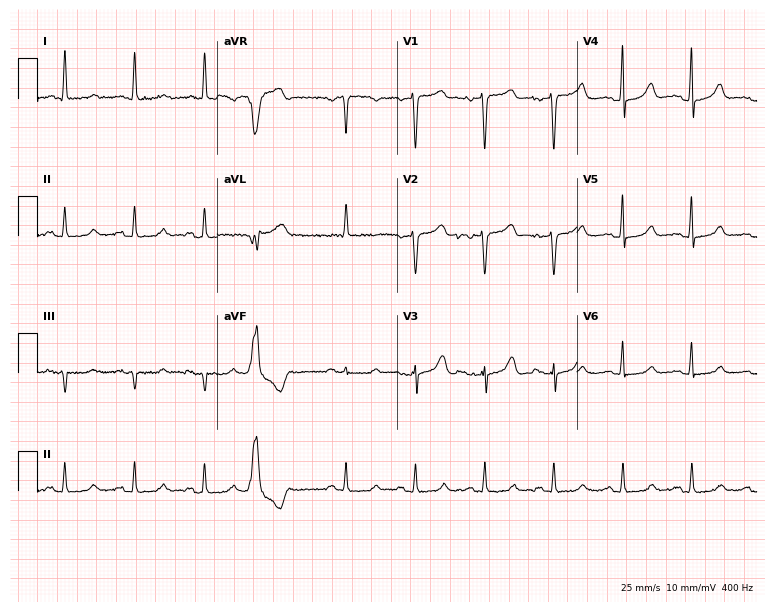
Resting 12-lead electrocardiogram (7.3-second recording at 400 Hz). Patient: a woman, 65 years old. None of these six findings is recorded: first-degree AV block, right bundle branch block, left bundle branch block, sinus bradycardia, atrial fibrillation, sinus tachycardia.